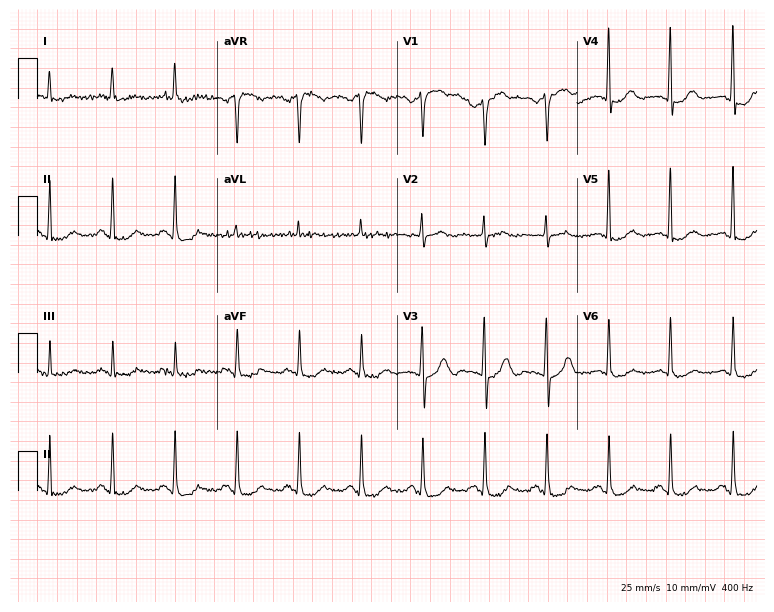
Standard 12-lead ECG recorded from a man, 63 years old. None of these six findings is recorded: first-degree AV block, right bundle branch block (RBBB), left bundle branch block (LBBB), sinus bradycardia, atrial fibrillation (AF), sinus tachycardia.